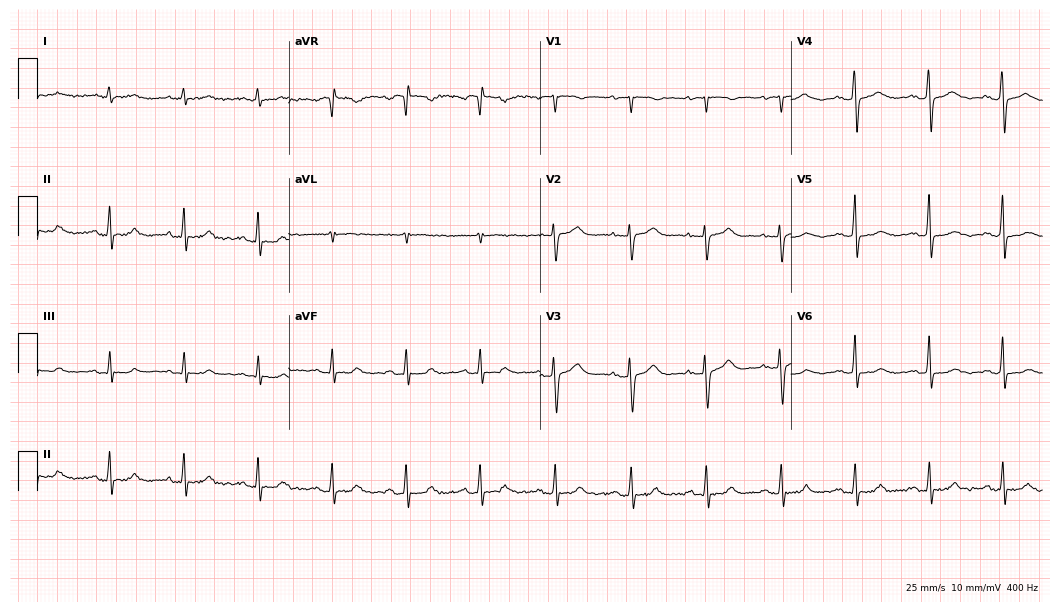
Electrocardiogram, a 62-year-old woman. Of the six screened findings (first-degree AV block, right bundle branch block, left bundle branch block, sinus bradycardia, atrial fibrillation, sinus tachycardia), none is recorded. Only these six findings were labelled.